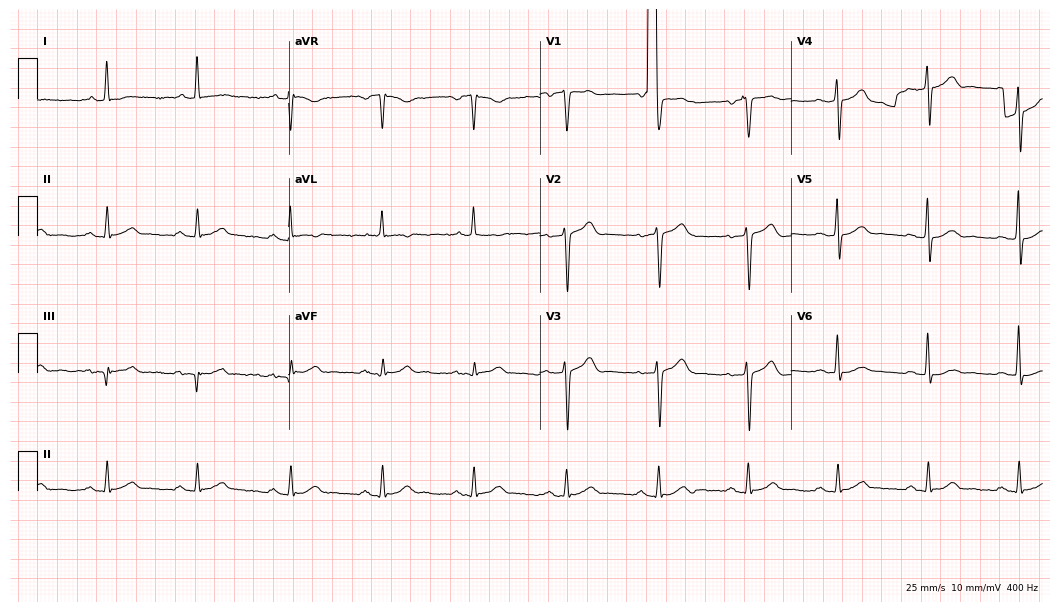
ECG (10.2-second recording at 400 Hz) — a 62-year-old man. Labelled as a normal ECG.